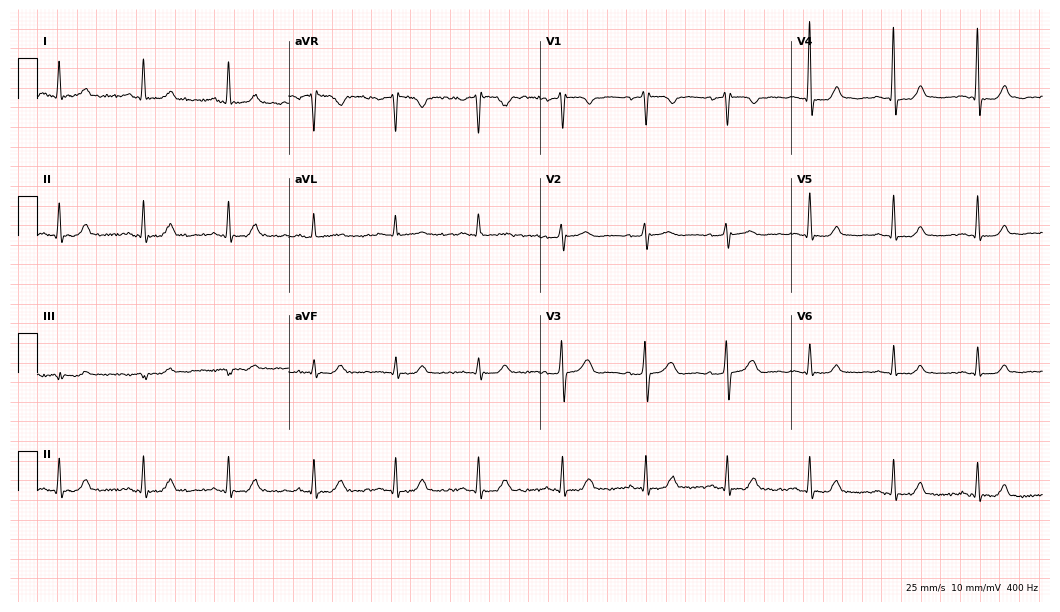
Resting 12-lead electrocardiogram. Patient: a female, 58 years old. None of these six findings is recorded: first-degree AV block, right bundle branch block (RBBB), left bundle branch block (LBBB), sinus bradycardia, atrial fibrillation (AF), sinus tachycardia.